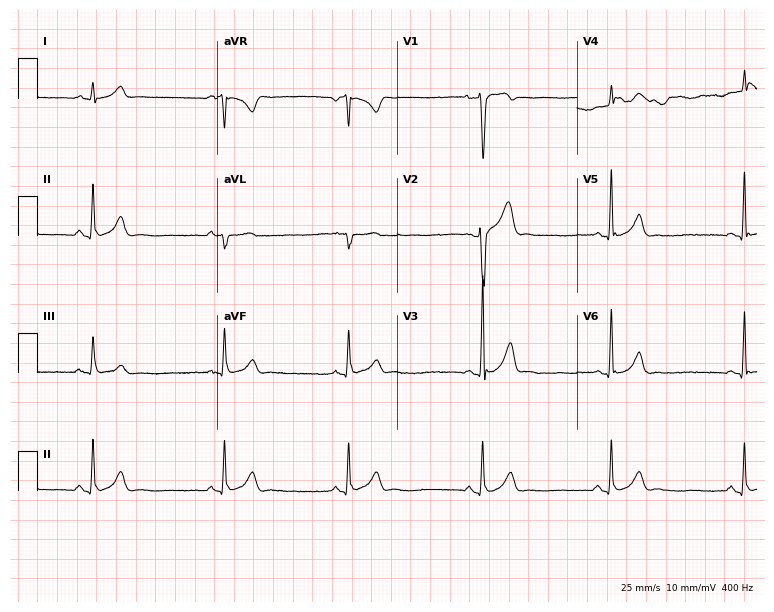
ECG (7.3-second recording at 400 Hz) — a 19-year-old male patient. Findings include sinus bradycardia (a sinus rate of 50 beats per minute or less).